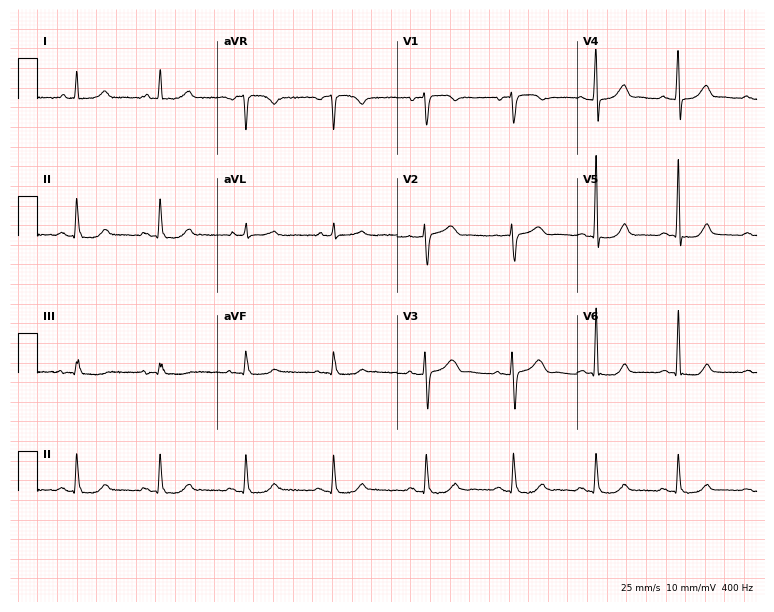
Standard 12-lead ECG recorded from a 66-year-old female patient (7.3-second recording at 400 Hz). Read as a normal ECG.